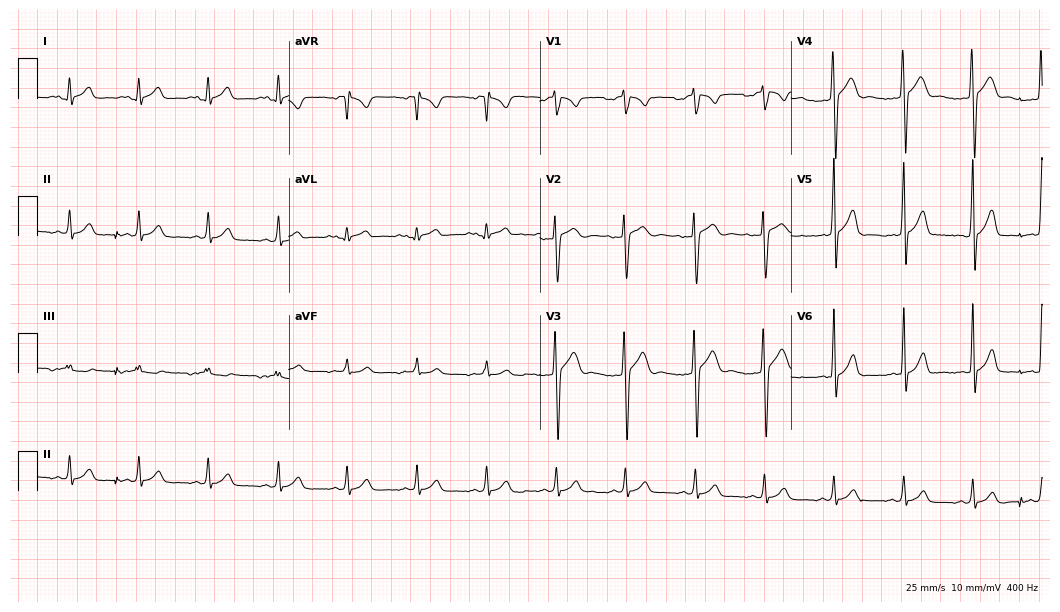
12-lead ECG from a 20-year-old male patient (10.2-second recording at 400 Hz). No first-degree AV block, right bundle branch block, left bundle branch block, sinus bradycardia, atrial fibrillation or sinus tachycardia recorded for this tracing. Other findings, if any, are not listed.